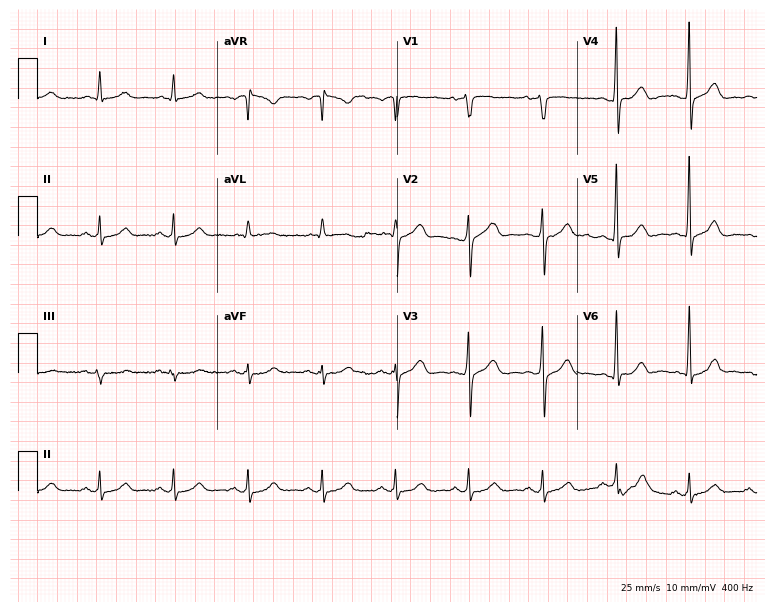
12-lead ECG from a 65-year-old man. Recorded interpretation: within normal limits.